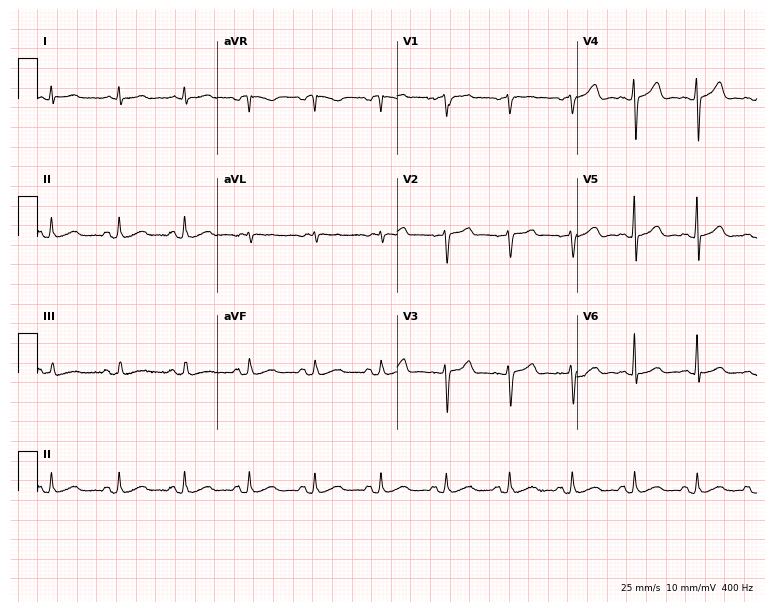
12-lead ECG from a male patient, 58 years old. Screened for six findings — first-degree AV block, right bundle branch block, left bundle branch block, sinus bradycardia, atrial fibrillation, sinus tachycardia — none is recorded. Only these six findings were labelled.